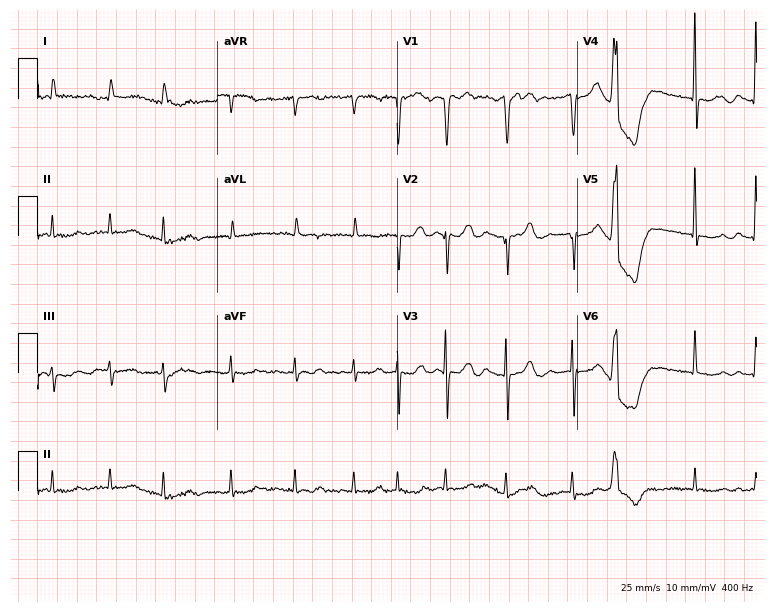
12-lead ECG (7.3-second recording at 400 Hz) from a 71-year-old female patient. Findings include atrial fibrillation.